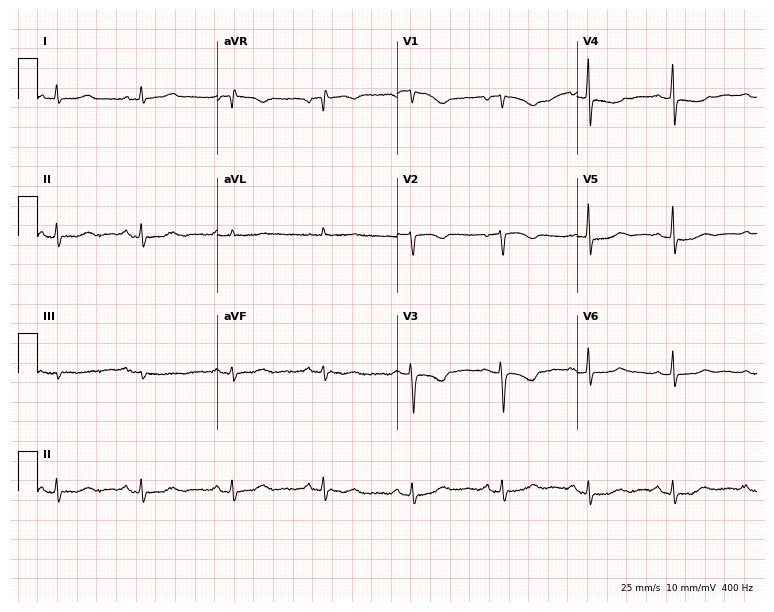
Resting 12-lead electrocardiogram. Patient: a woman, 66 years old. None of these six findings is recorded: first-degree AV block, right bundle branch block (RBBB), left bundle branch block (LBBB), sinus bradycardia, atrial fibrillation (AF), sinus tachycardia.